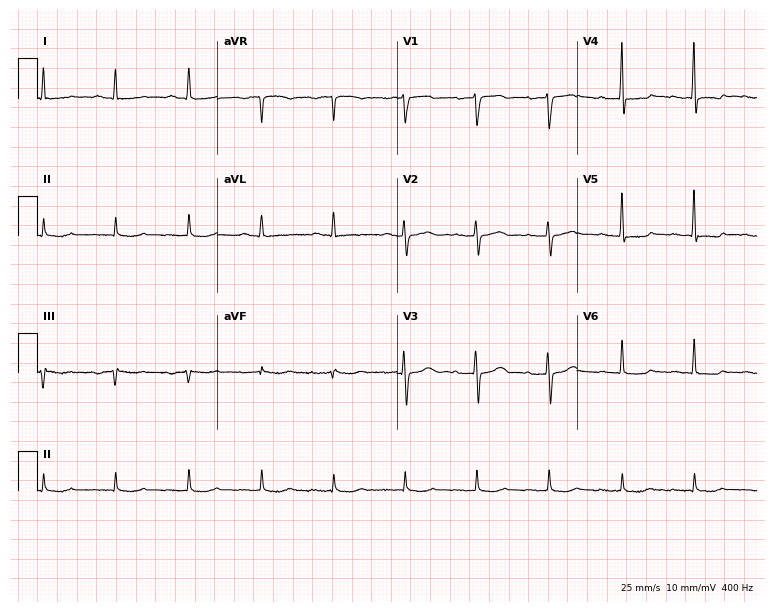
Electrocardiogram (7.3-second recording at 400 Hz), an 85-year-old female patient. Of the six screened findings (first-degree AV block, right bundle branch block (RBBB), left bundle branch block (LBBB), sinus bradycardia, atrial fibrillation (AF), sinus tachycardia), none is recorded. Other findings, if any, are not listed.